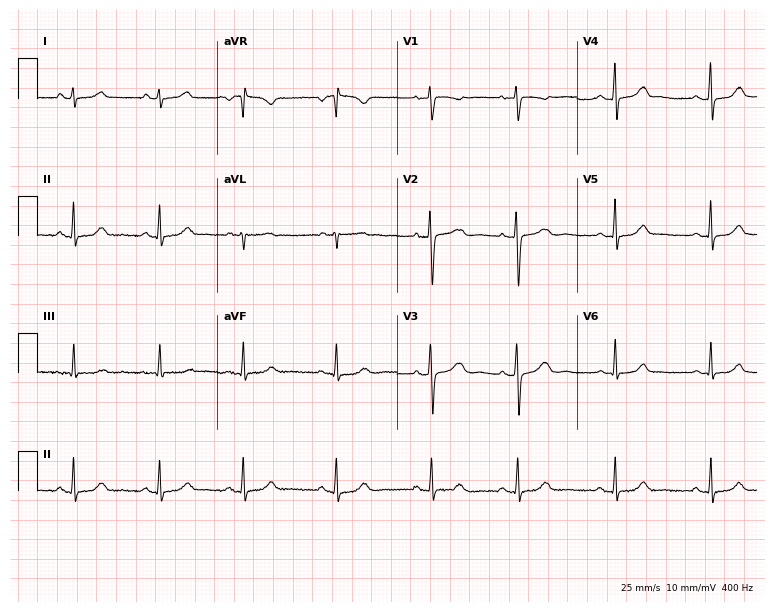
Electrocardiogram, a female, 22 years old. Of the six screened findings (first-degree AV block, right bundle branch block, left bundle branch block, sinus bradycardia, atrial fibrillation, sinus tachycardia), none is recorded.